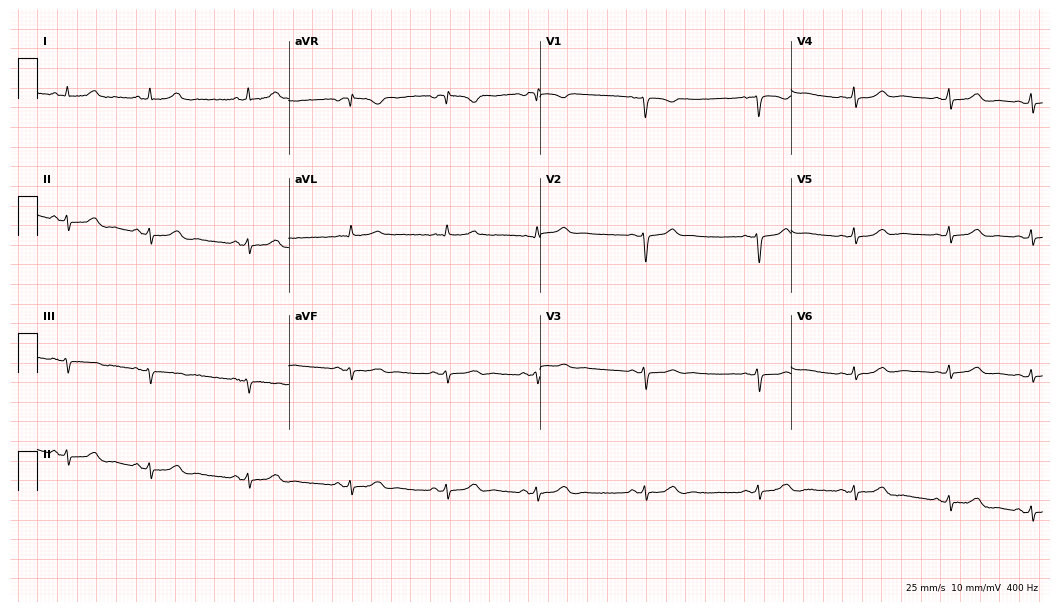
Electrocardiogram (10.2-second recording at 400 Hz), a woman, 41 years old. Of the six screened findings (first-degree AV block, right bundle branch block, left bundle branch block, sinus bradycardia, atrial fibrillation, sinus tachycardia), none is recorded.